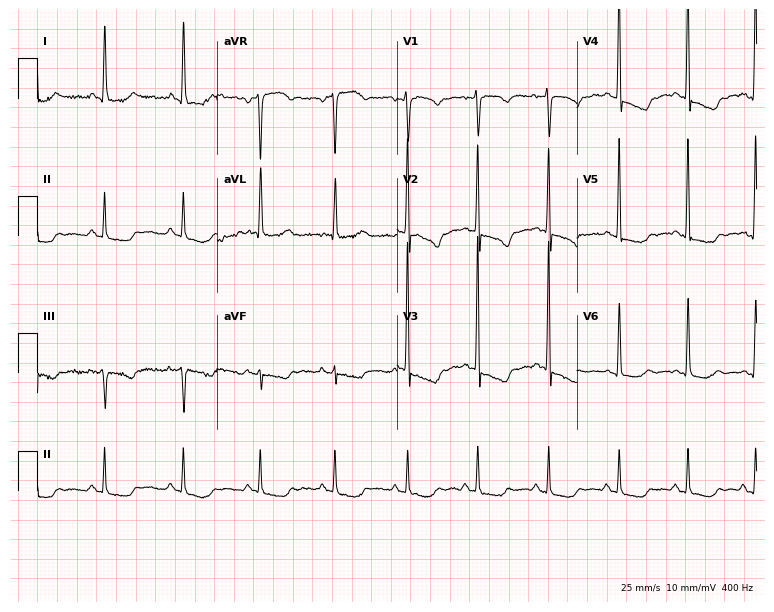
12-lead ECG from a female, 70 years old (7.3-second recording at 400 Hz). No first-degree AV block, right bundle branch block (RBBB), left bundle branch block (LBBB), sinus bradycardia, atrial fibrillation (AF) or sinus tachycardia recorded for this tracing. Only these six findings were labelled.